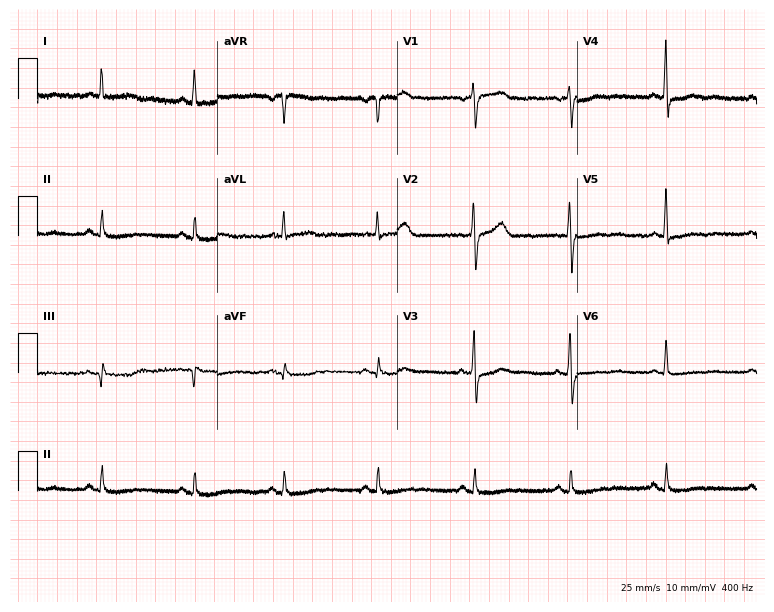
Electrocardiogram (7.3-second recording at 400 Hz), a 60-year-old female patient. Of the six screened findings (first-degree AV block, right bundle branch block, left bundle branch block, sinus bradycardia, atrial fibrillation, sinus tachycardia), none is recorded. Other findings, if any, are not listed.